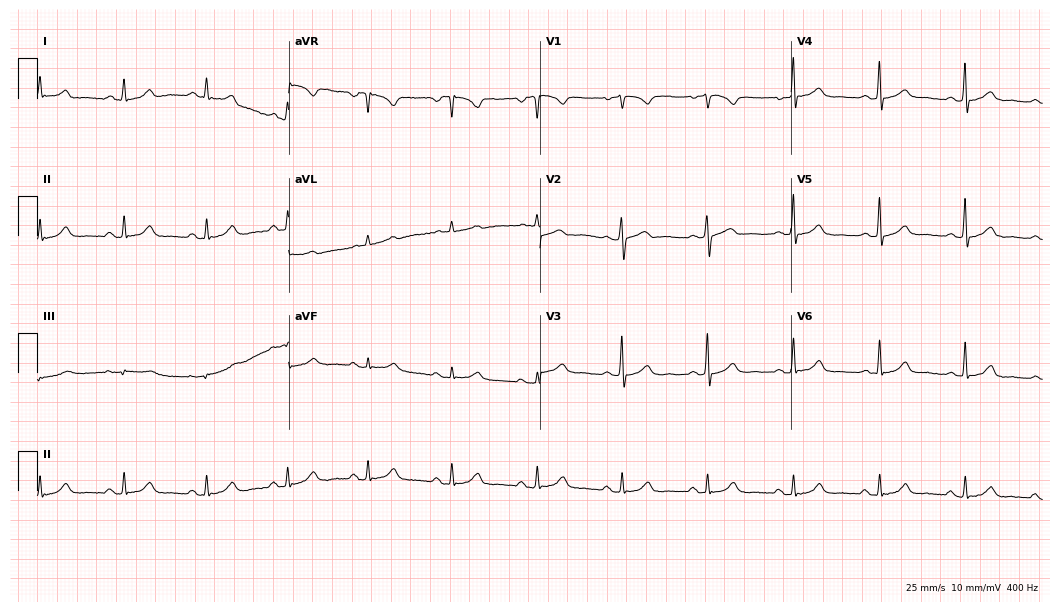
ECG (10.2-second recording at 400 Hz) — a female, 47 years old. Labelled as a normal ECG.